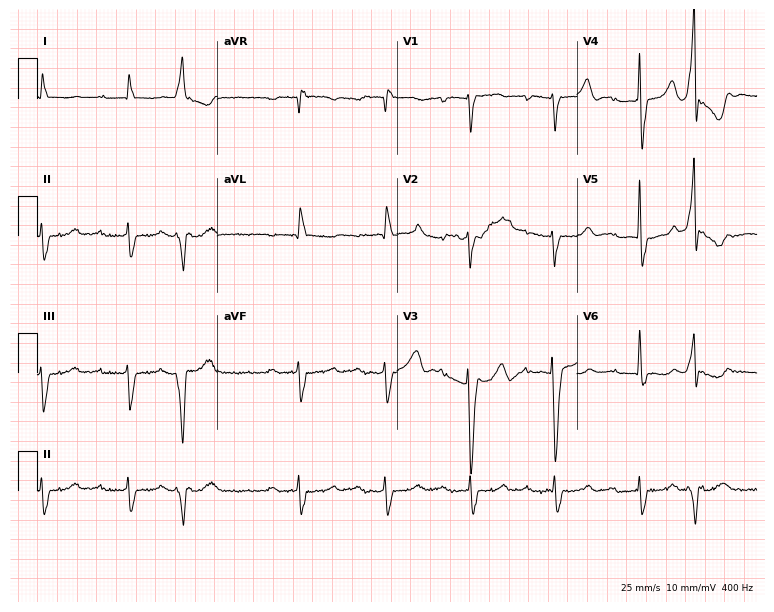
Resting 12-lead electrocardiogram. Patient: a male, 81 years old. The tracing shows first-degree AV block.